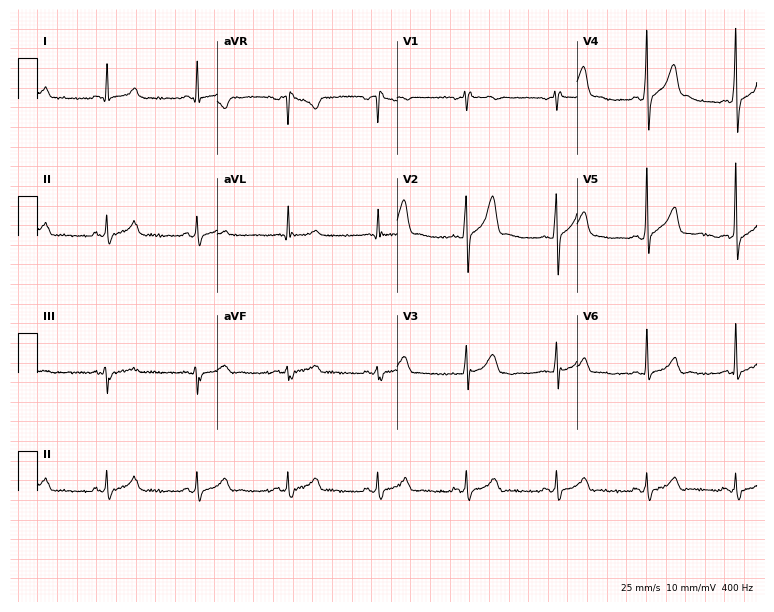
Resting 12-lead electrocardiogram (7.3-second recording at 400 Hz). Patient: a man, 33 years old. Read as a normal ECG.